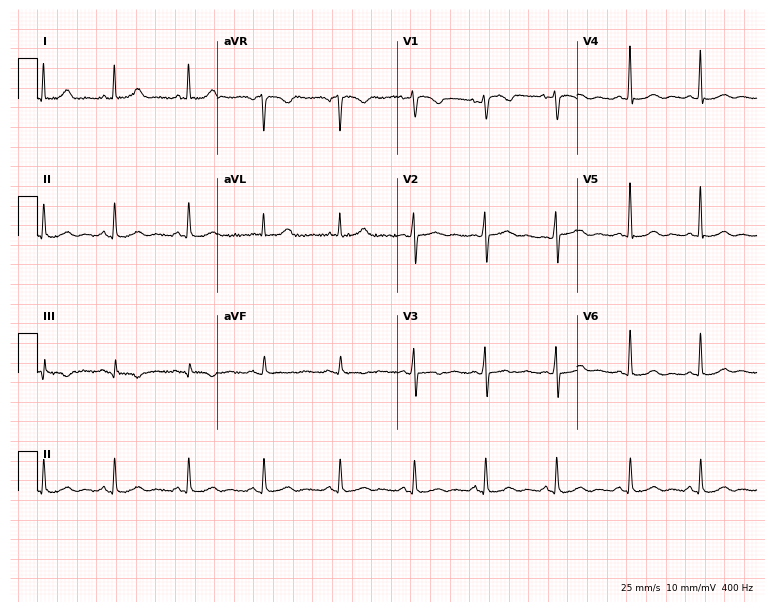
ECG (7.3-second recording at 400 Hz) — a female patient, 62 years old. Screened for six findings — first-degree AV block, right bundle branch block (RBBB), left bundle branch block (LBBB), sinus bradycardia, atrial fibrillation (AF), sinus tachycardia — none is recorded. Only these six findings were labelled.